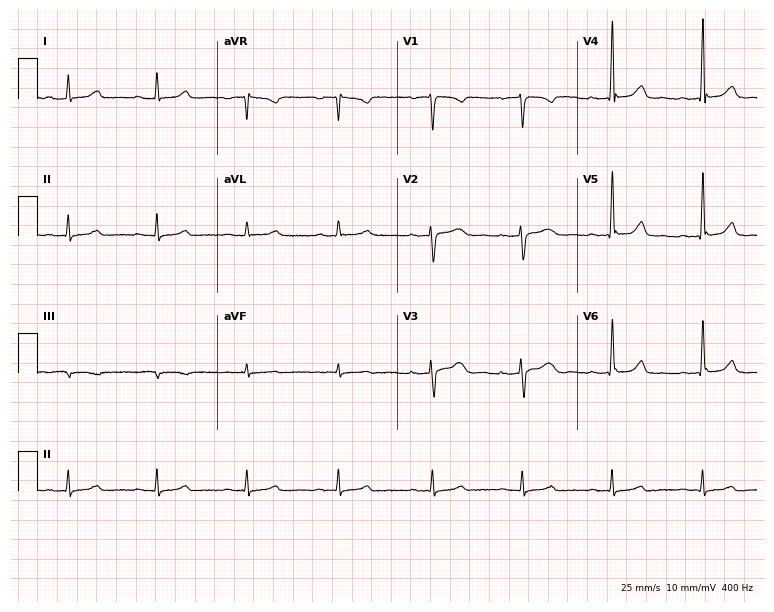
Resting 12-lead electrocardiogram (7.3-second recording at 400 Hz). Patient: a 40-year-old woman. None of these six findings is recorded: first-degree AV block, right bundle branch block, left bundle branch block, sinus bradycardia, atrial fibrillation, sinus tachycardia.